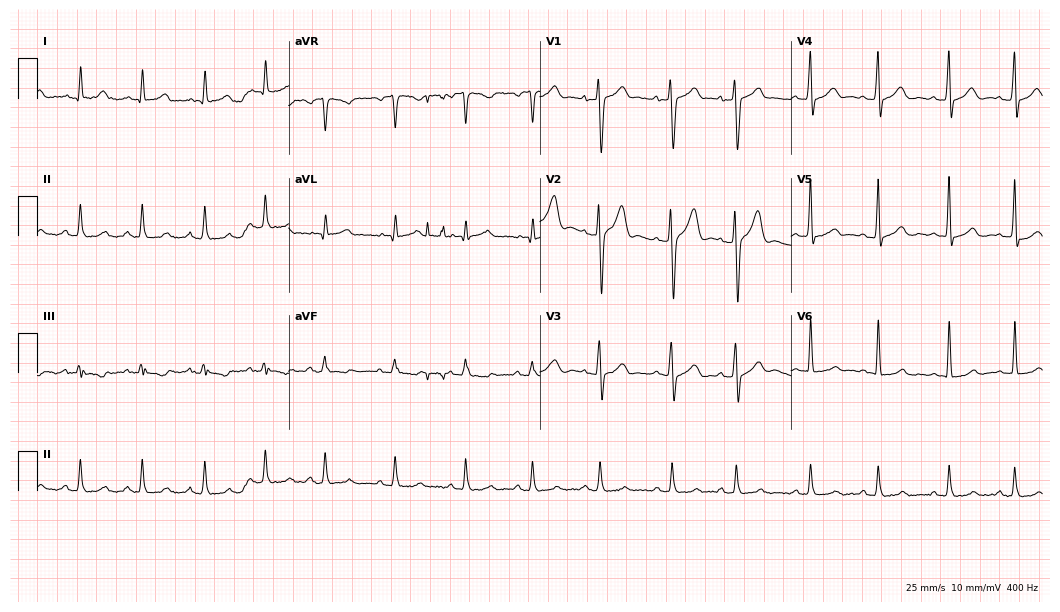
Electrocardiogram (10.2-second recording at 400 Hz), a 34-year-old male. Of the six screened findings (first-degree AV block, right bundle branch block, left bundle branch block, sinus bradycardia, atrial fibrillation, sinus tachycardia), none is recorded.